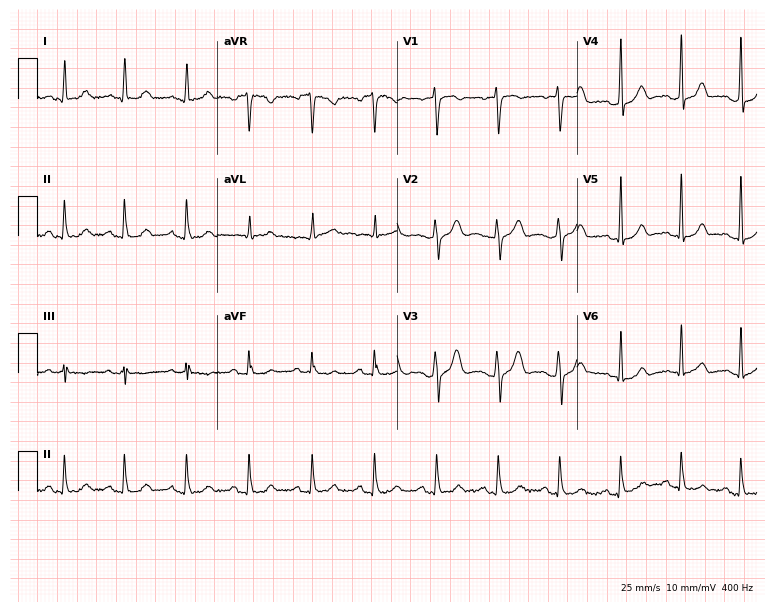
Resting 12-lead electrocardiogram (7.3-second recording at 400 Hz). Patient: a female, 38 years old. Read as a normal ECG.